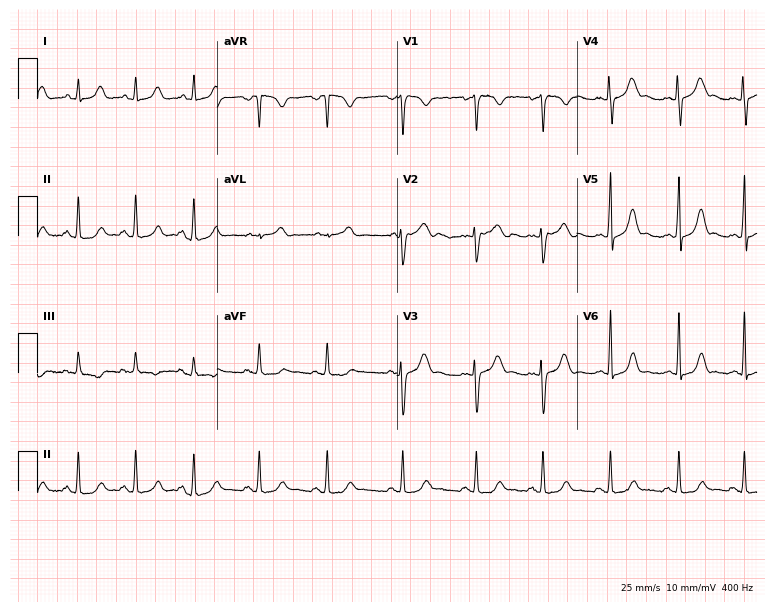
12-lead ECG from a 19-year-old woman. Labelled as a normal ECG.